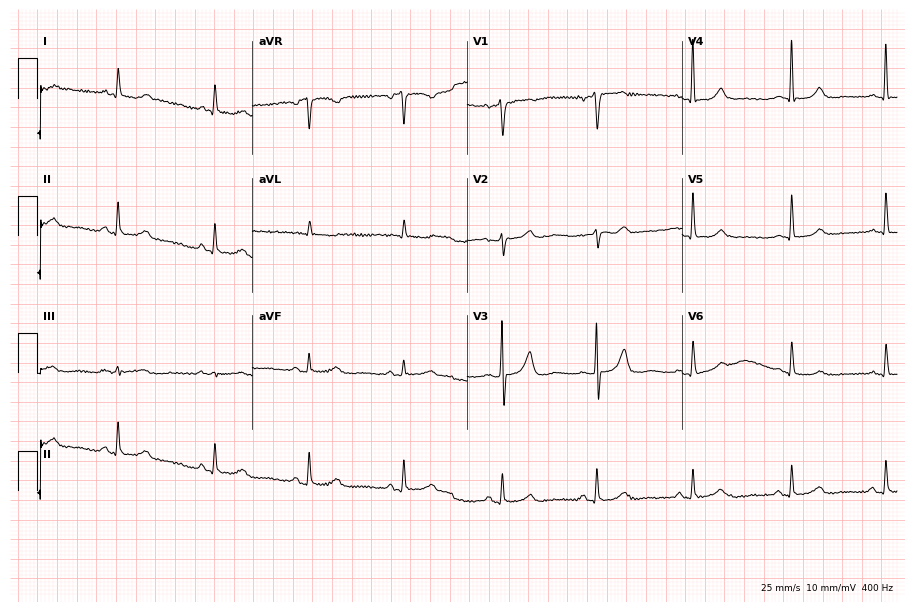
12-lead ECG from a woman, 80 years old. Recorded interpretation: within normal limits.